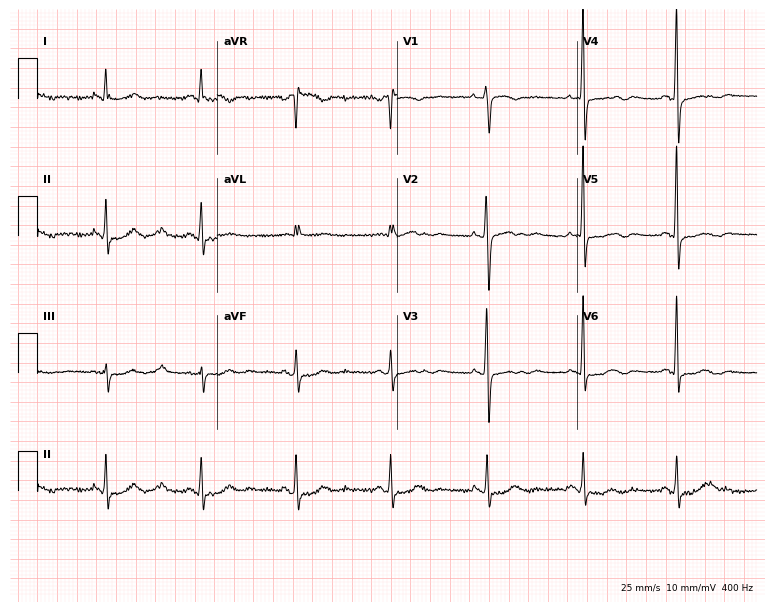
12-lead ECG (7.3-second recording at 400 Hz) from a female patient, 60 years old. Screened for six findings — first-degree AV block, right bundle branch block, left bundle branch block, sinus bradycardia, atrial fibrillation, sinus tachycardia — none is recorded. Only these six findings were labelled.